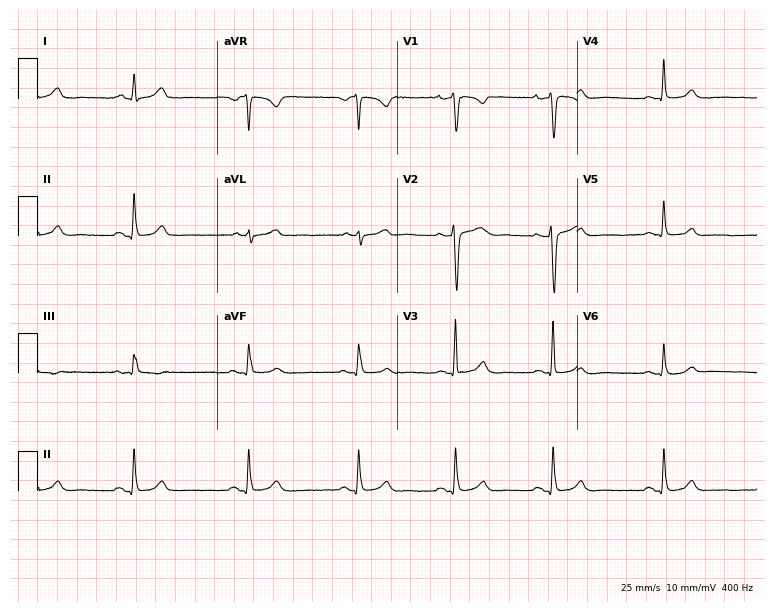
Electrocardiogram (7.3-second recording at 400 Hz), a 36-year-old woman. Overall reading on record: normal ECG.